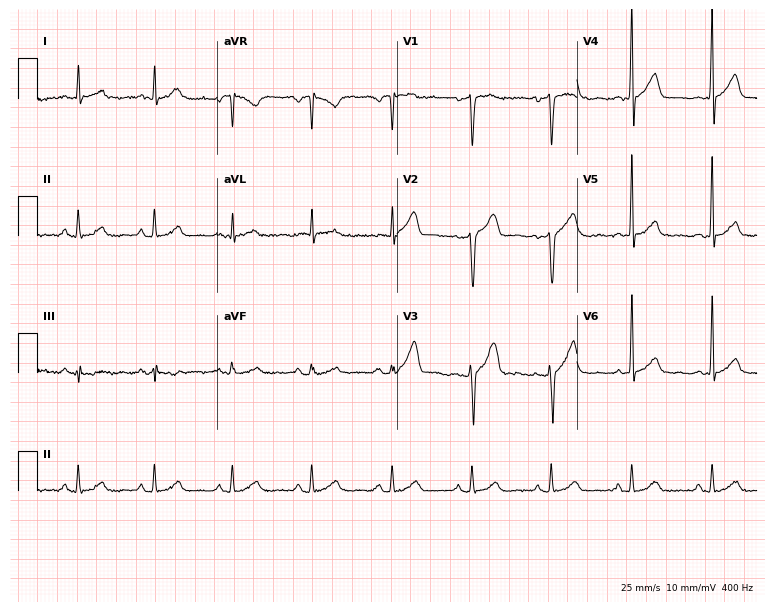
12-lead ECG from a 50-year-old male (7.3-second recording at 400 Hz). Recorded interpretation: within normal limits.